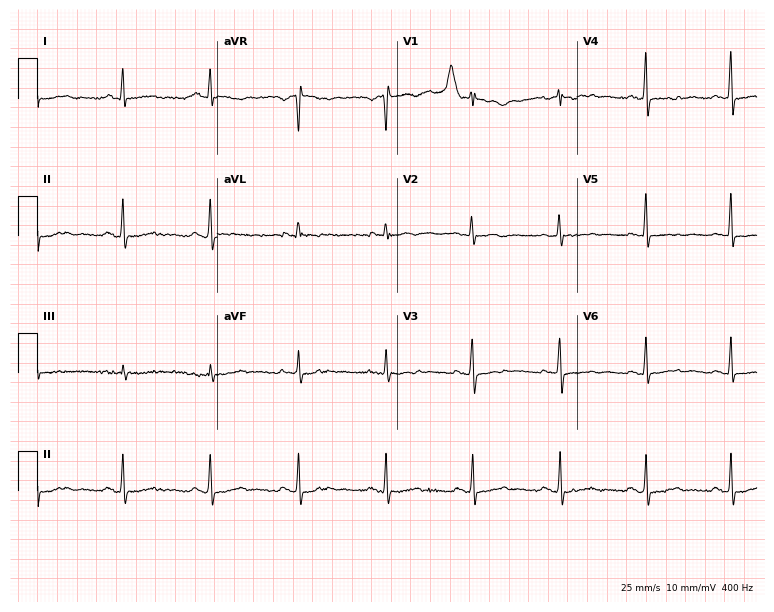
12-lead ECG (7.3-second recording at 400 Hz) from a 51-year-old female patient. Labelled as a normal ECG.